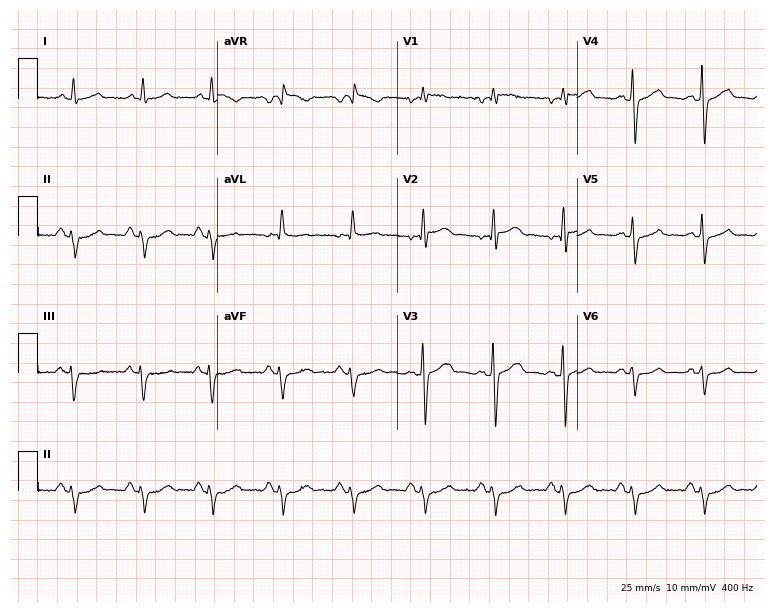
Electrocardiogram, a 64-year-old man. Of the six screened findings (first-degree AV block, right bundle branch block (RBBB), left bundle branch block (LBBB), sinus bradycardia, atrial fibrillation (AF), sinus tachycardia), none is recorded.